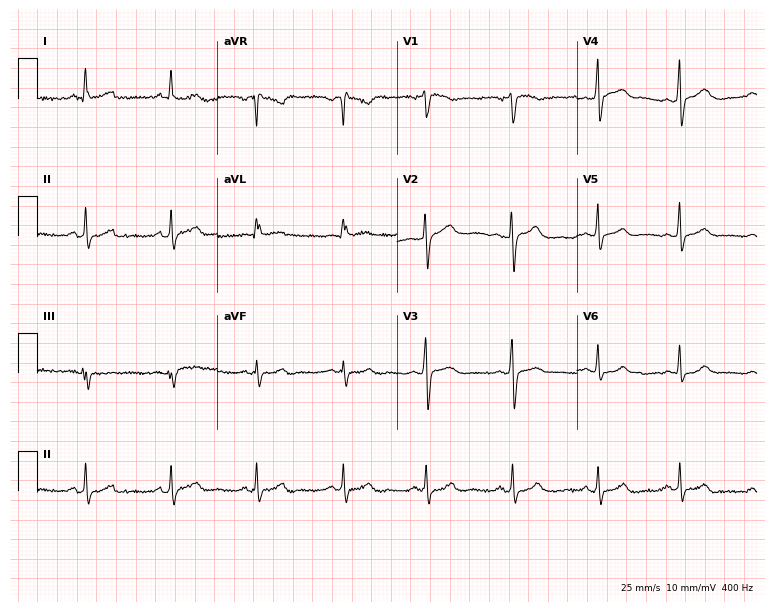
ECG — a female patient, 47 years old. Labelled as a normal ECG.